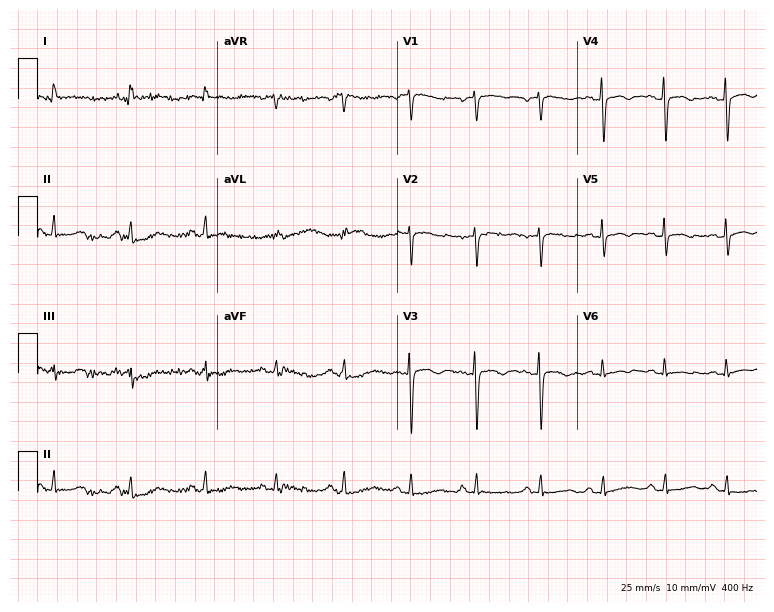
Resting 12-lead electrocardiogram. Patient: a female, 51 years old. None of these six findings is recorded: first-degree AV block, right bundle branch block, left bundle branch block, sinus bradycardia, atrial fibrillation, sinus tachycardia.